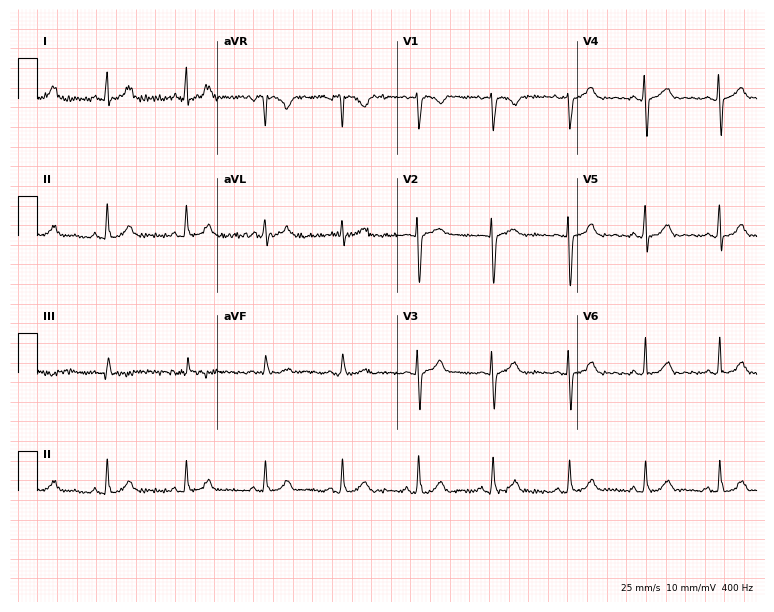
Standard 12-lead ECG recorded from a female, 49 years old (7.3-second recording at 400 Hz). Read as a normal ECG.